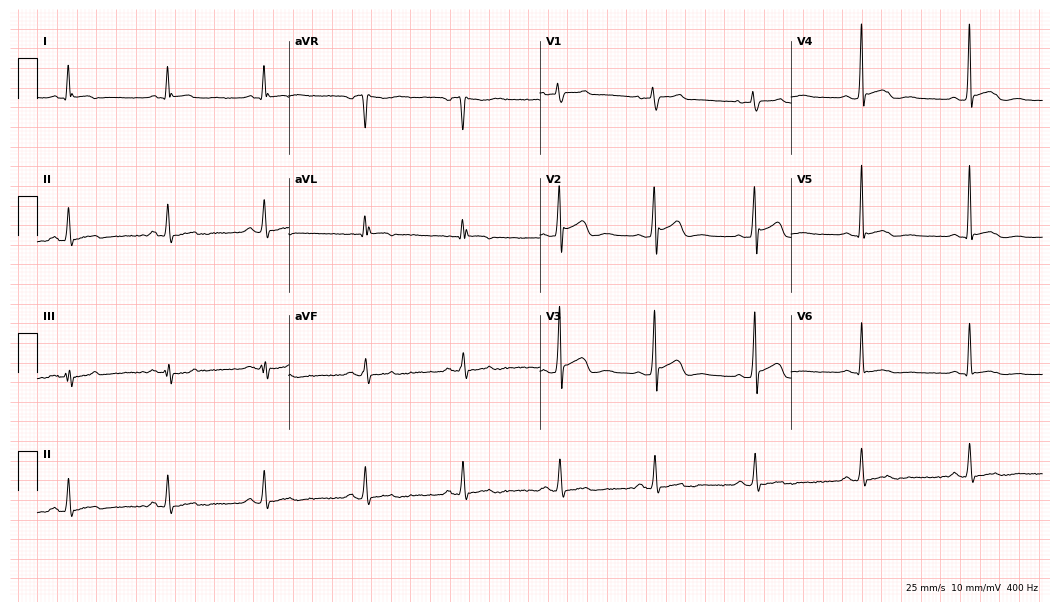
12-lead ECG (10.2-second recording at 400 Hz) from a male patient, 35 years old. Screened for six findings — first-degree AV block, right bundle branch block, left bundle branch block, sinus bradycardia, atrial fibrillation, sinus tachycardia — none is recorded.